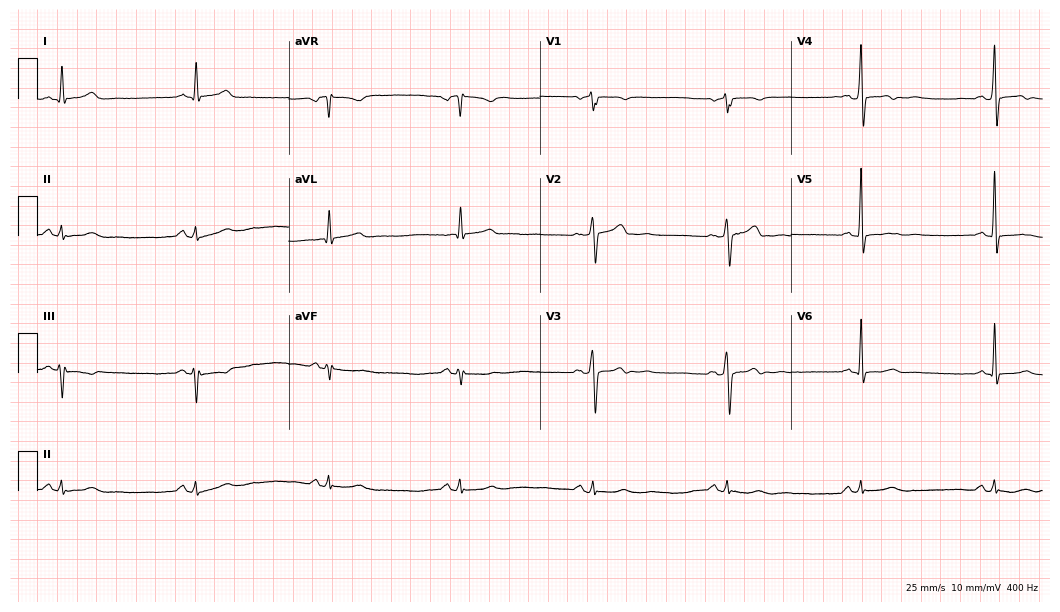
12-lead ECG (10.2-second recording at 400 Hz) from a man, 62 years old. Findings include sinus bradycardia (a sinus rate of 50 beats per minute or less).